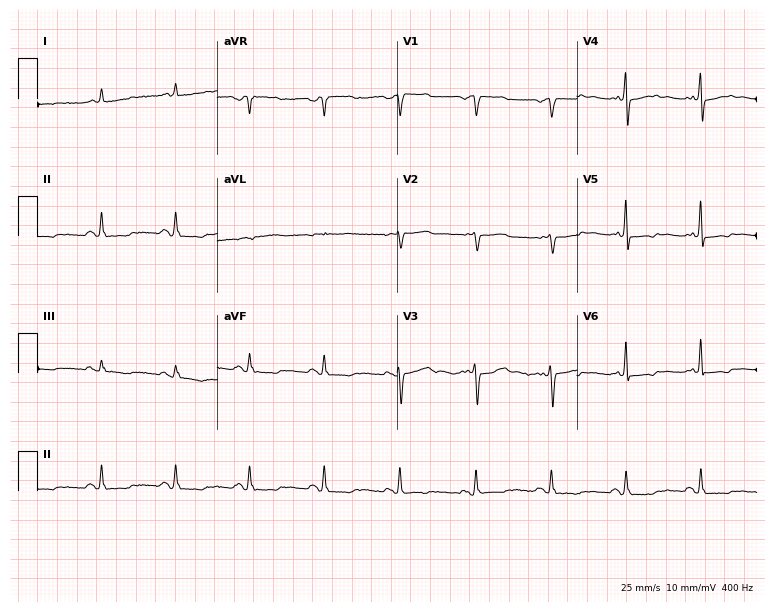
12-lead ECG (7.3-second recording at 400 Hz) from a female patient, 76 years old. Screened for six findings — first-degree AV block, right bundle branch block, left bundle branch block, sinus bradycardia, atrial fibrillation, sinus tachycardia — none is recorded. Other findings, if any, are not listed.